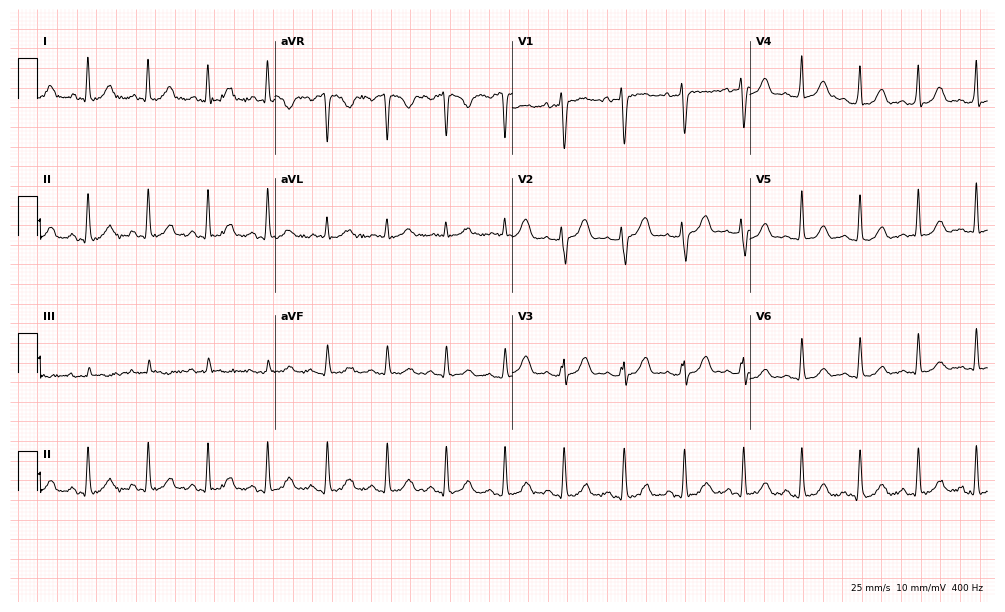
12-lead ECG (9.7-second recording at 400 Hz) from a woman, 38 years old. Labelled as a normal ECG.